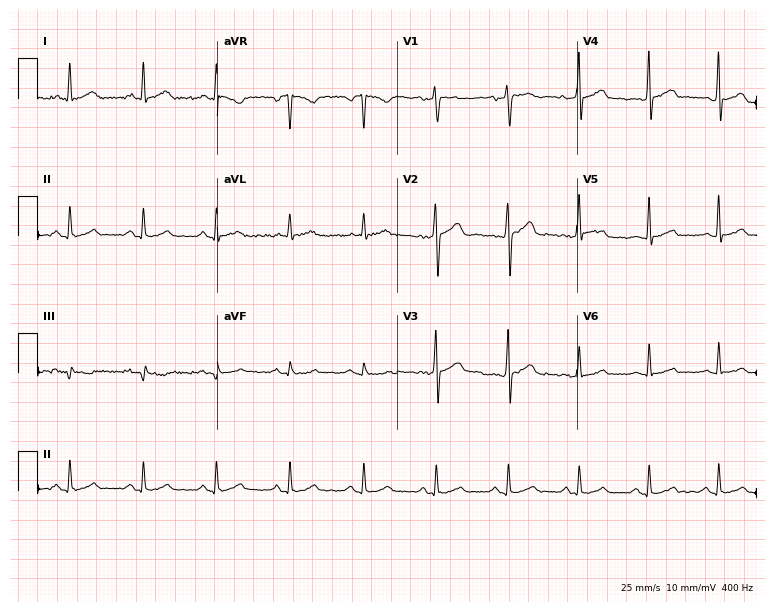
ECG (7.3-second recording at 400 Hz) — a 44-year-old man. Screened for six findings — first-degree AV block, right bundle branch block, left bundle branch block, sinus bradycardia, atrial fibrillation, sinus tachycardia — none is recorded. Findings outside these six are not listed.